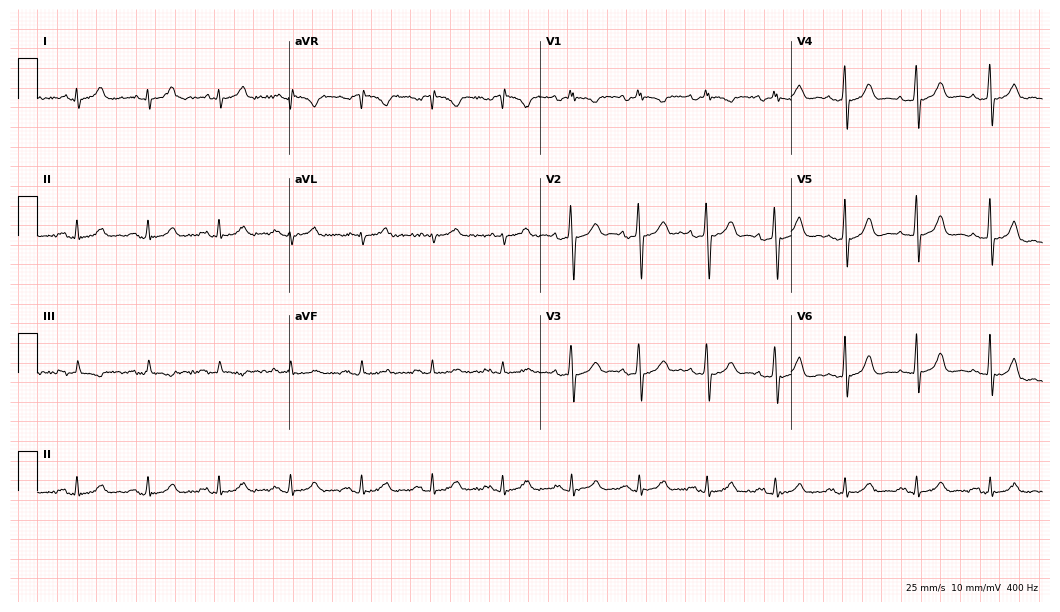
12-lead ECG from a male patient, 76 years old. Labelled as a normal ECG.